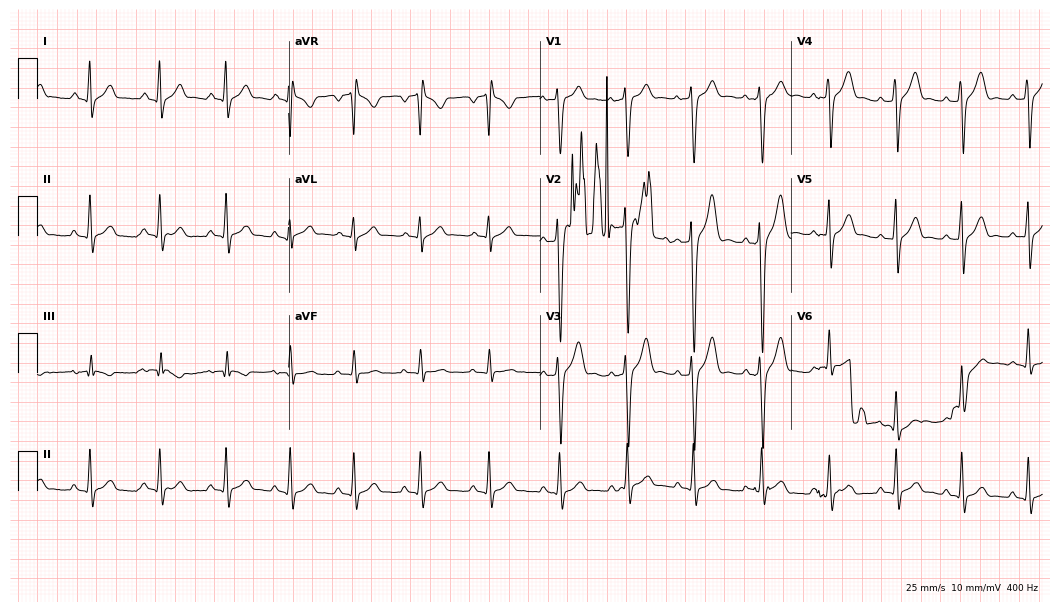
12-lead ECG (10.2-second recording at 400 Hz) from an 18-year-old male. Screened for six findings — first-degree AV block, right bundle branch block, left bundle branch block, sinus bradycardia, atrial fibrillation, sinus tachycardia — none is recorded.